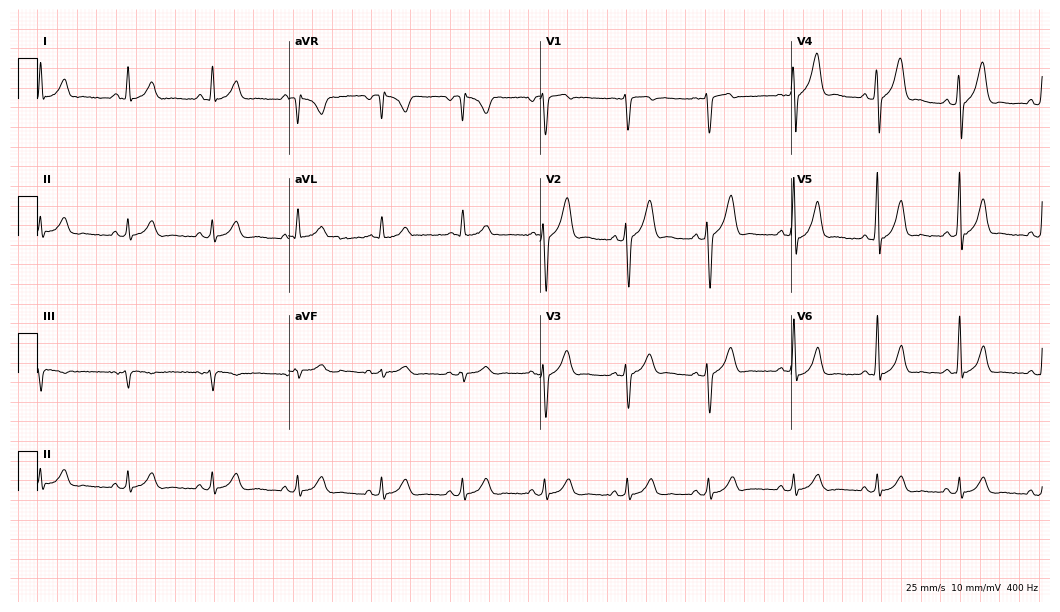
ECG — a male, 42 years old. Labelled as a normal ECG.